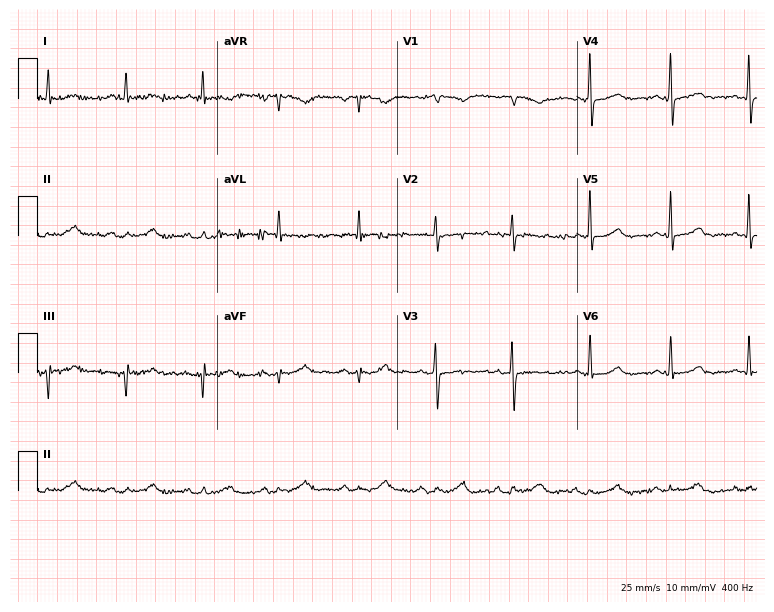
Resting 12-lead electrocardiogram. Patient: a 77-year-old female. None of these six findings is recorded: first-degree AV block, right bundle branch block, left bundle branch block, sinus bradycardia, atrial fibrillation, sinus tachycardia.